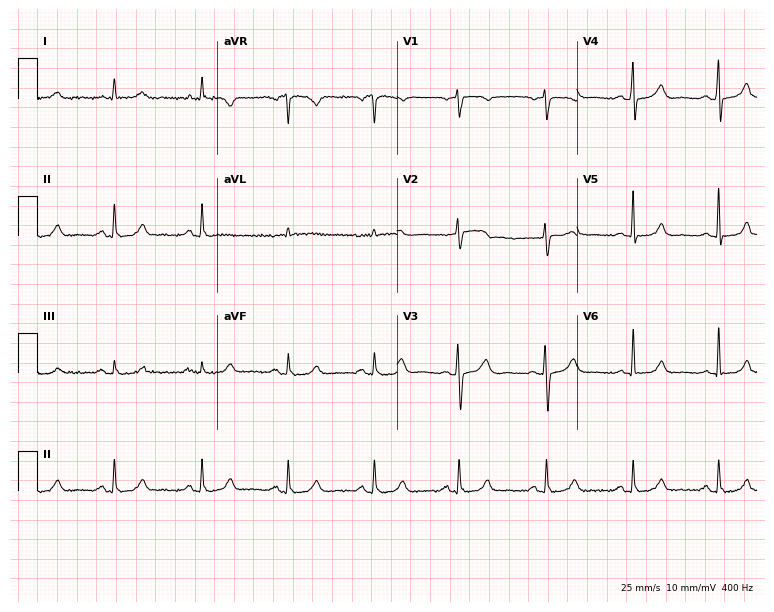
Resting 12-lead electrocardiogram. Patient: a woman, 55 years old. Read as a normal ECG.